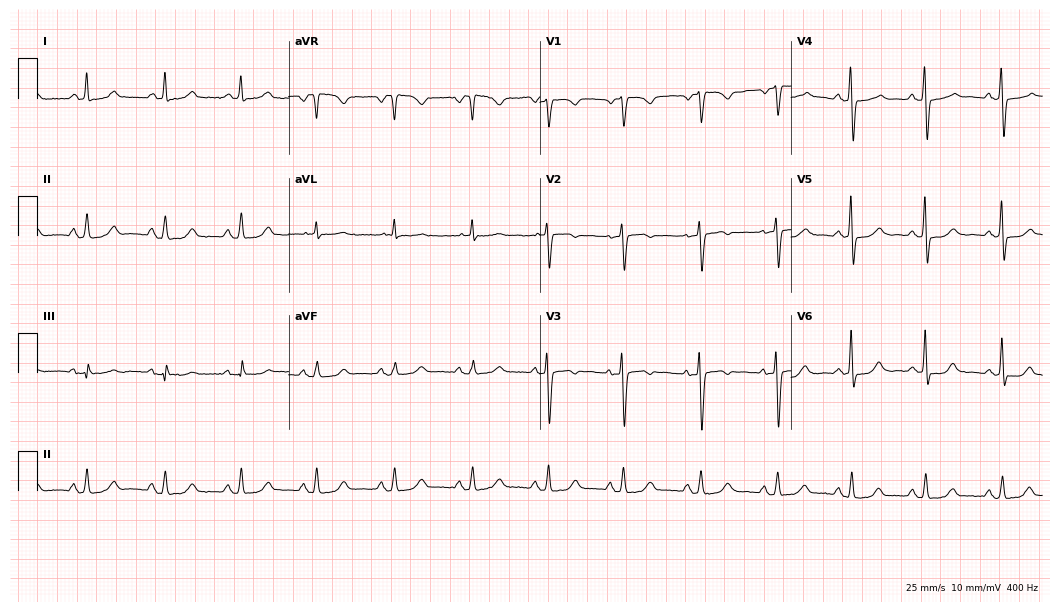
Resting 12-lead electrocardiogram (10.2-second recording at 400 Hz). Patient: a woman, 54 years old. None of these six findings is recorded: first-degree AV block, right bundle branch block (RBBB), left bundle branch block (LBBB), sinus bradycardia, atrial fibrillation (AF), sinus tachycardia. Findings outside these six are not listed.